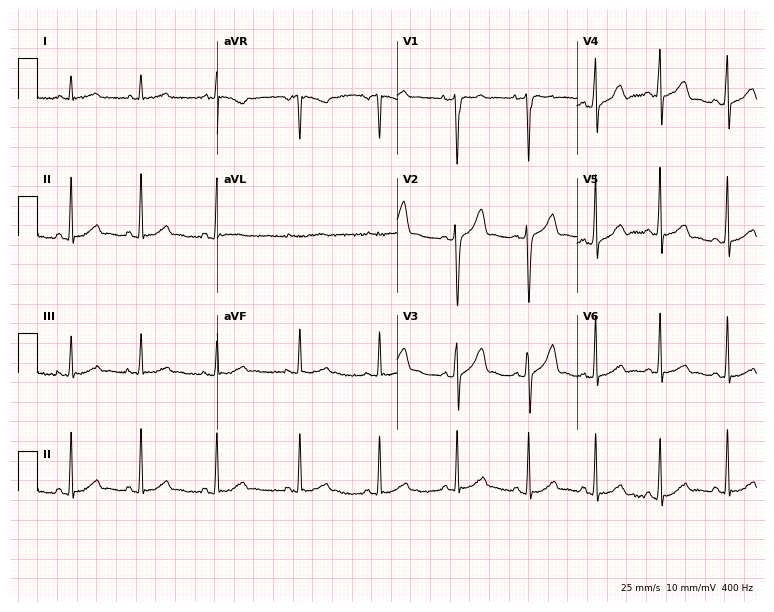
12-lead ECG from a male, 37 years old. Labelled as a normal ECG.